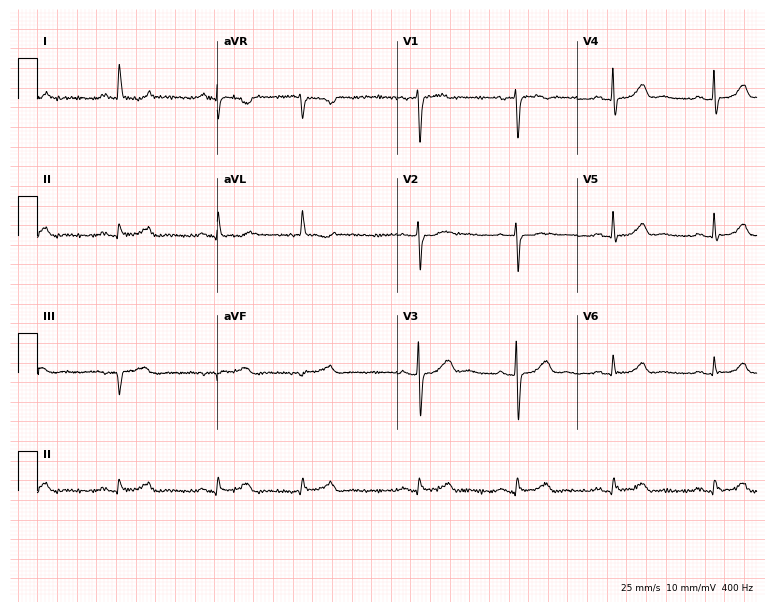
Resting 12-lead electrocardiogram (7.3-second recording at 400 Hz). Patient: a female, 64 years old. Read as a normal ECG.